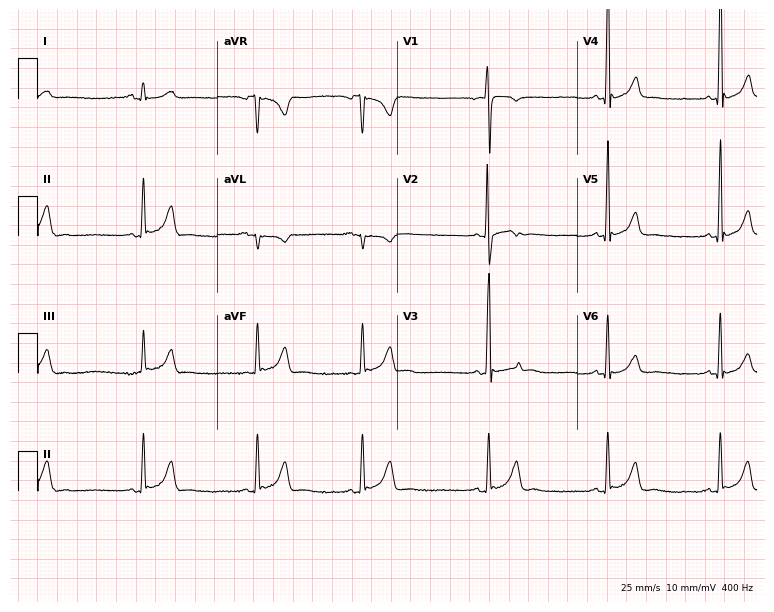
Resting 12-lead electrocardiogram. Patient: a male, 17 years old. None of these six findings is recorded: first-degree AV block, right bundle branch block, left bundle branch block, sinus bradycardia, atrial fibrillation, sinus tachycardia.